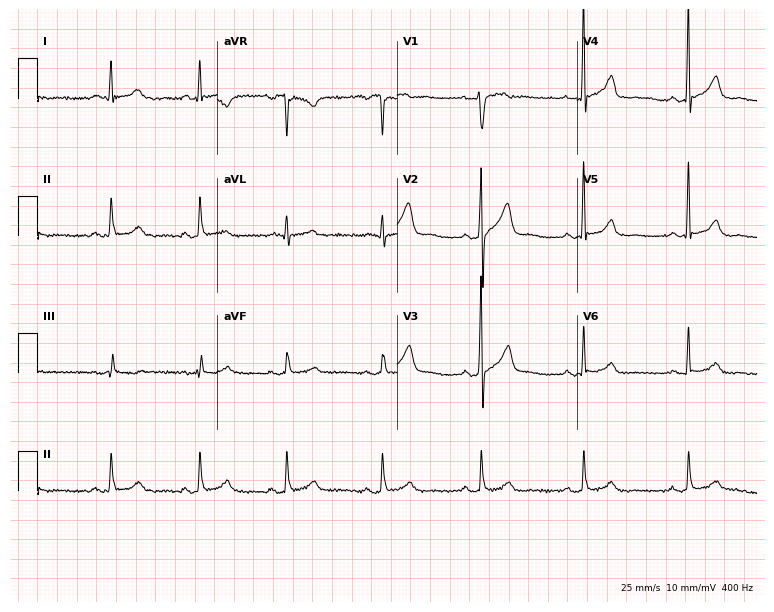
Resting 12-lead electrocardiogram. Patient: a 46-year-old male. None of these six findings is recorded: first-degree AV block, right bundle branch block, left bundle branch block, sinus bradycardia, atrial fibrillation, sinus tachycardia.